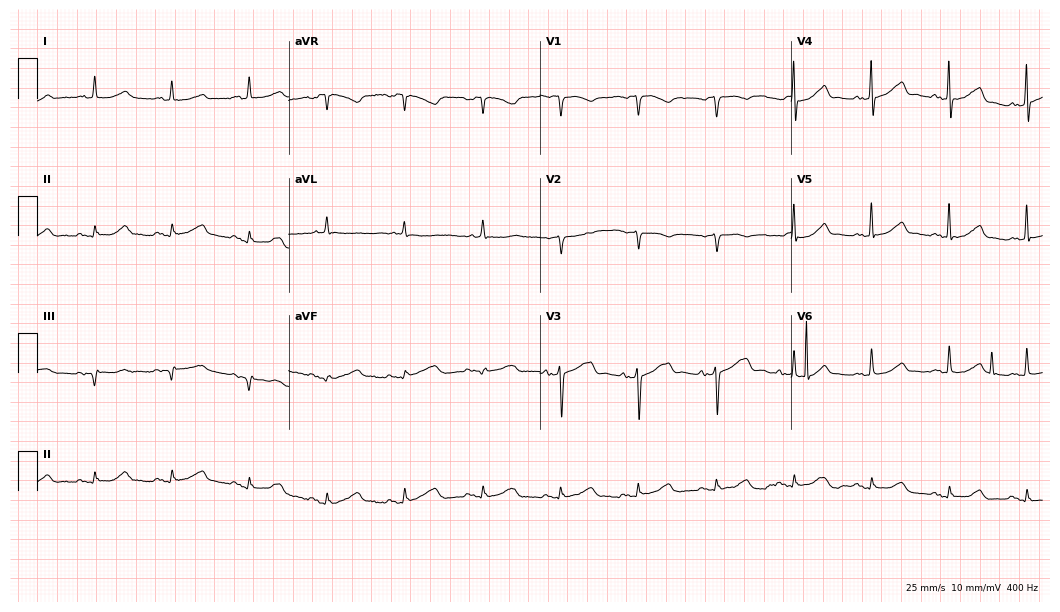
12-lead ECG from a female, 78 years old. Screened for six findings — first-degree AV block, right bundle branch block (RBBB), left bundle branch block (LBBB), sinus bradycardia, atrial fibrillation (AF), sinus tachycardia — none is recorded. Only these six findings were labelled.